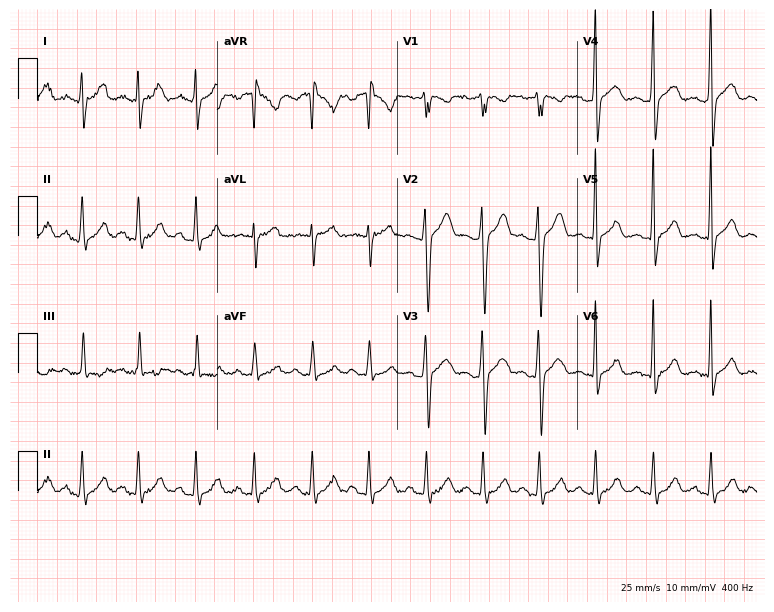
12-lead ECG from a 21-year-old male. Labelled as a normal ECG.